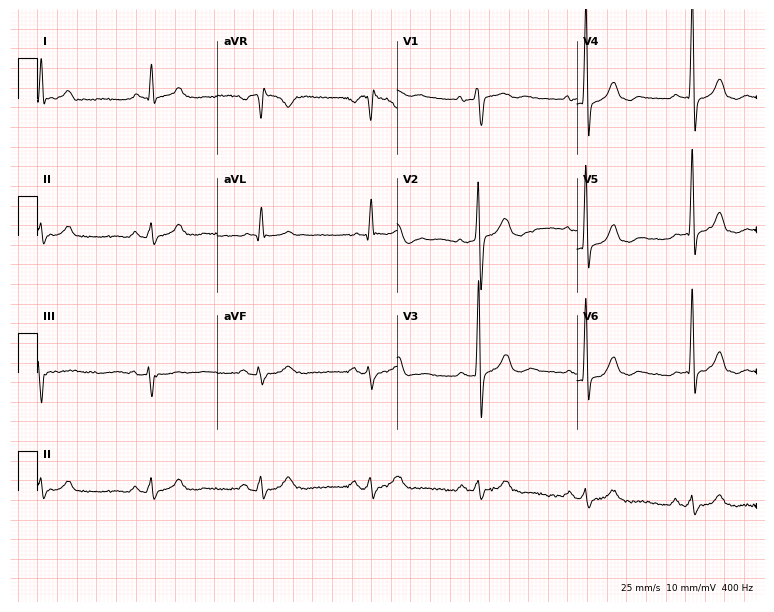
12-lead ECG from a 77-year-old male patient (7.3-second recording at 400 Hz). No first-degree AV block, right bundle branch block, left bundle branch block, sinus bradycardia, atrial fibrillation or sinus tachycardia recorded for this tracing. Findings outside these six are not listed.